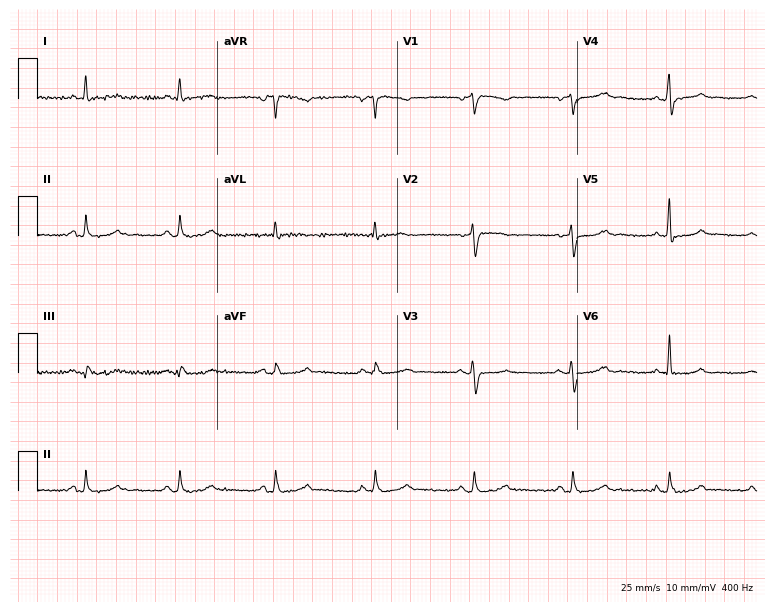
Resting 12-lead electrocardiogram (7.3-second recording at 400 Hz). Patient: a 44-year-old female. None of these six findings is recorded: first-degree AV block, right bundle branch block, left bundle branch block, sinus bradycardia, atrial fibrillation, sinus tachycardia. Other findings, if any, are not listed.